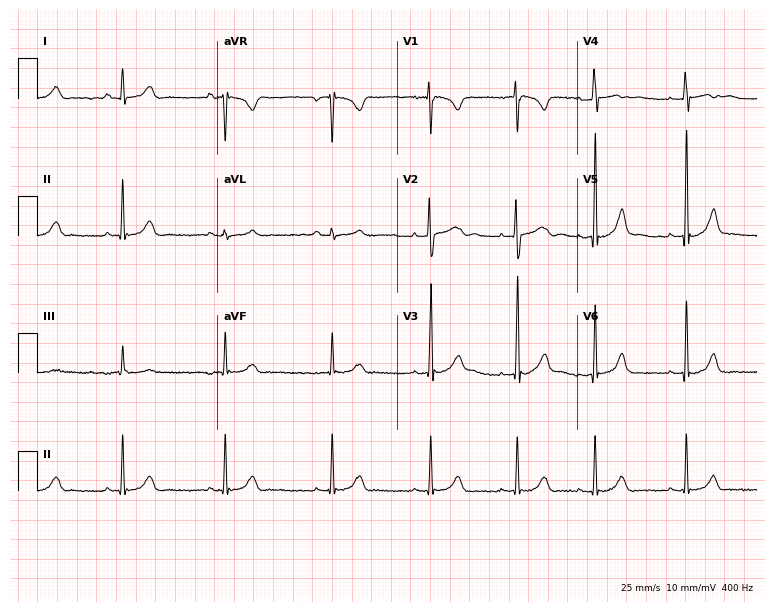
ECG — a woman, 20 years old. Labelled as a normal ECG.